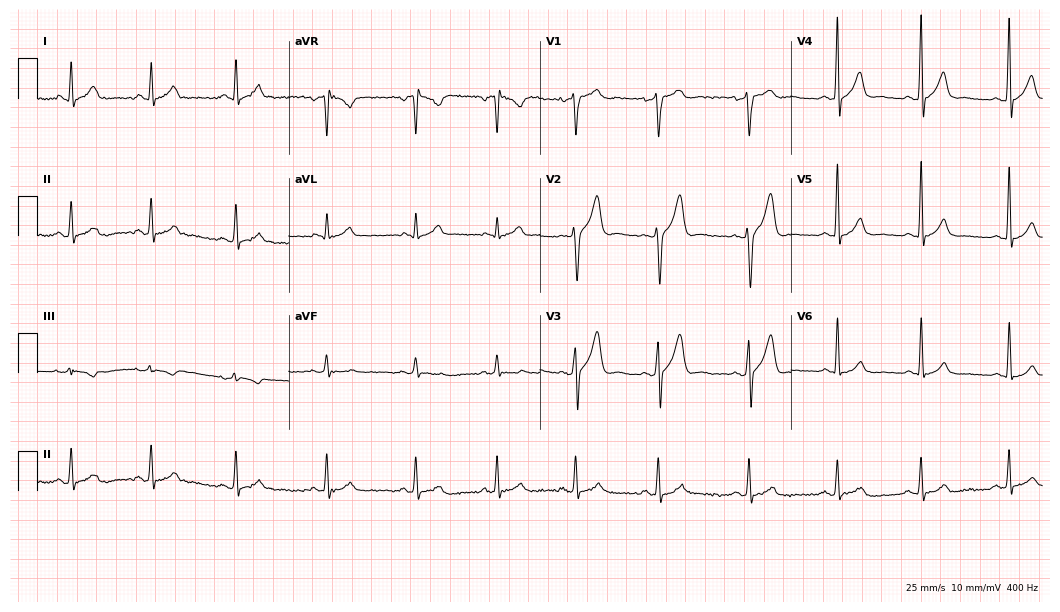
Electrocardiogram, a 39-year-old male patient. Of the six screened findings (first-degree AV block, right bundle branch block, left bundle branch block, sinus bradycardia, atrial fibrillation, sinus tachycardia), none is recorded.